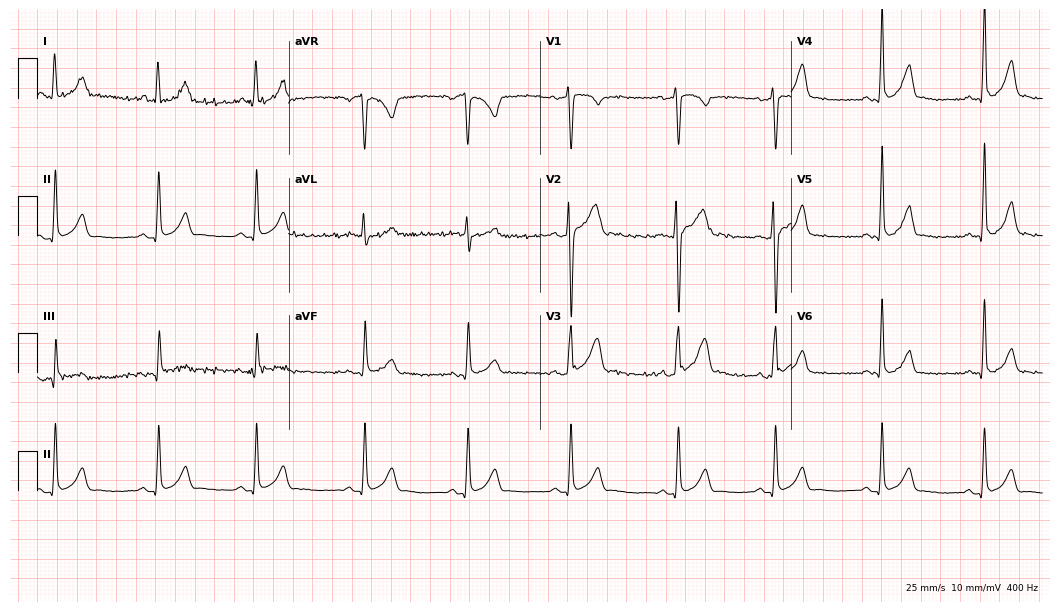
12-lead ECG from a man, 17 years old (10.2-second recording at 400 Hz). Recorded interpretation: within normal limits.